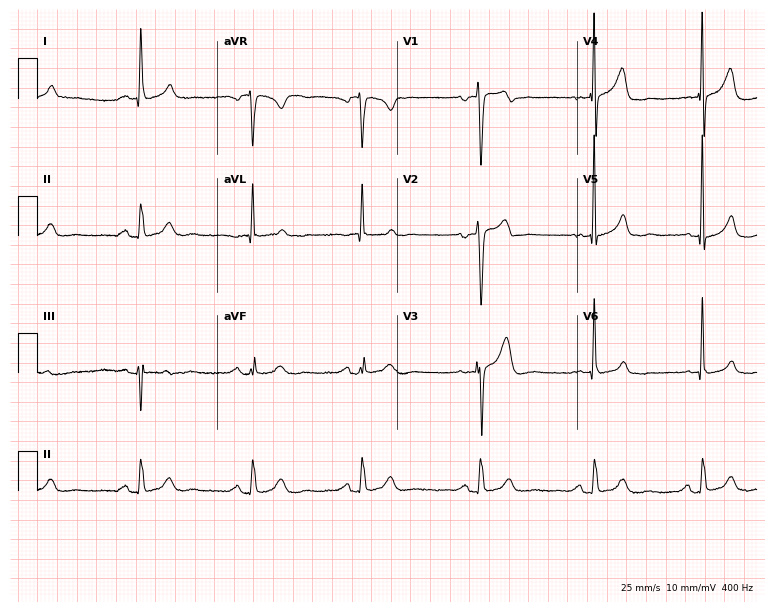
Resting 12-lead electrocardiogram (7.3-second recording at 400 Hz). Patient: a woman, 69 years old. None of these six findings is recorded: first-degree AV block, right bundle branch block (RBBB), left bundle branch block (LBBB), sinus bradycardia, atrial fibrillation (AF), sinus tachycardia.